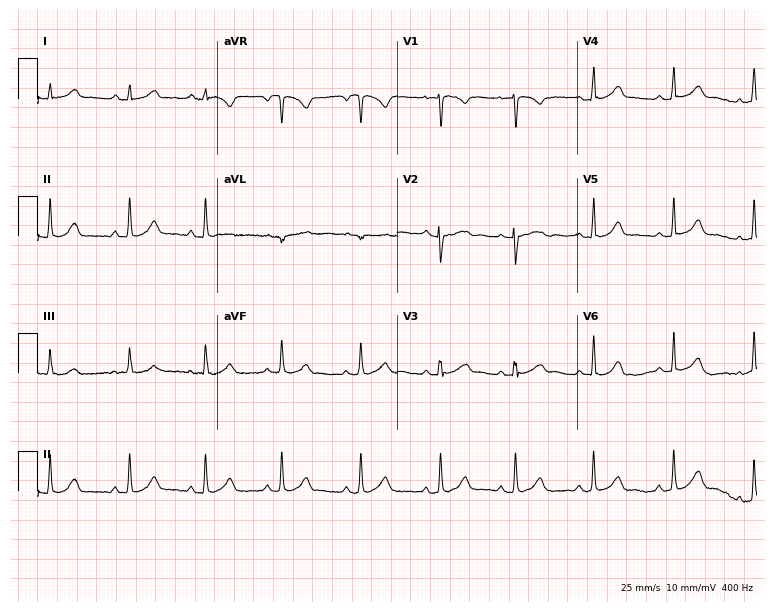
Electrocardiogram, a female, 19 years old. Overall reading on record: normal ECG.